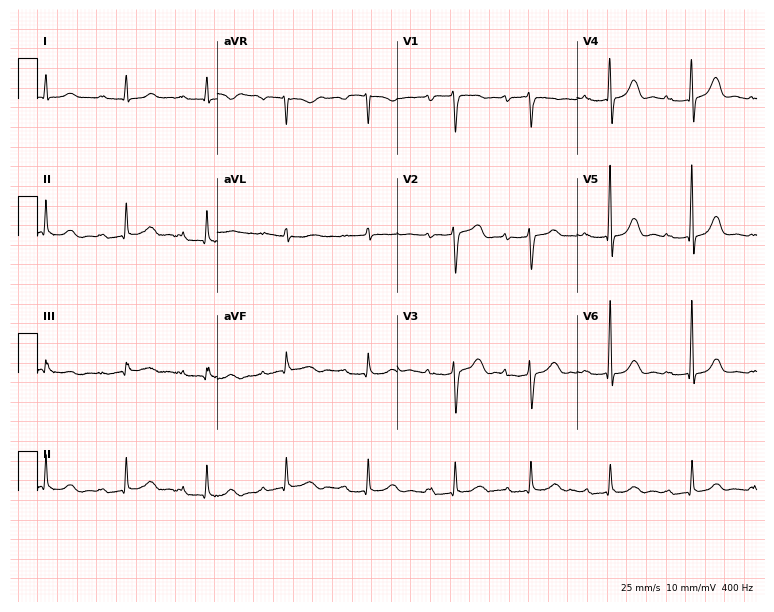
Electrocardiogram (7.3-second recording at 400 Hz), a 76-year-old female patient. Of the six screened findings (first-degree AV block, right bundle branch block (RBBB), left bundle branch block (LBBB), sinus bradycardia, atrial fibrillation (AF), sinus tachycardia), none is recorded. Other findings, if any, are not listed.